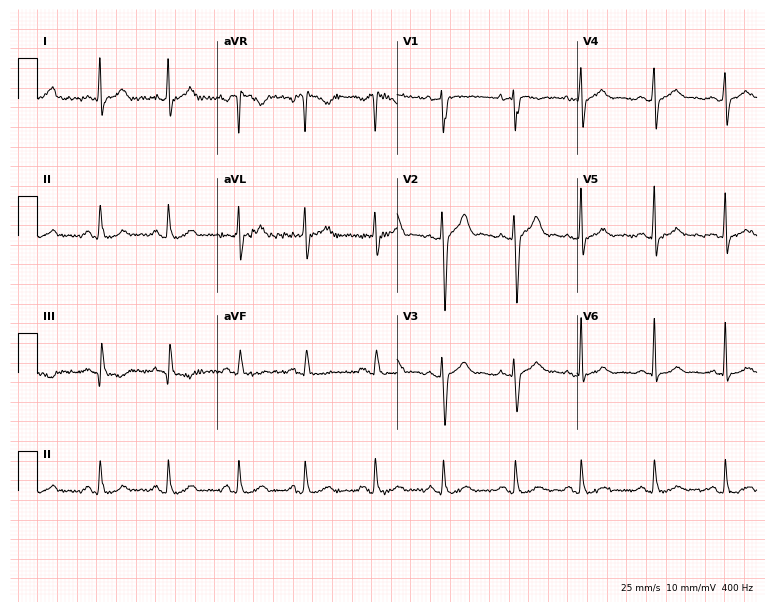
Resting 12-lead electrocardiogram. Patient: a male, 29 years old. Read as a normal ECG.